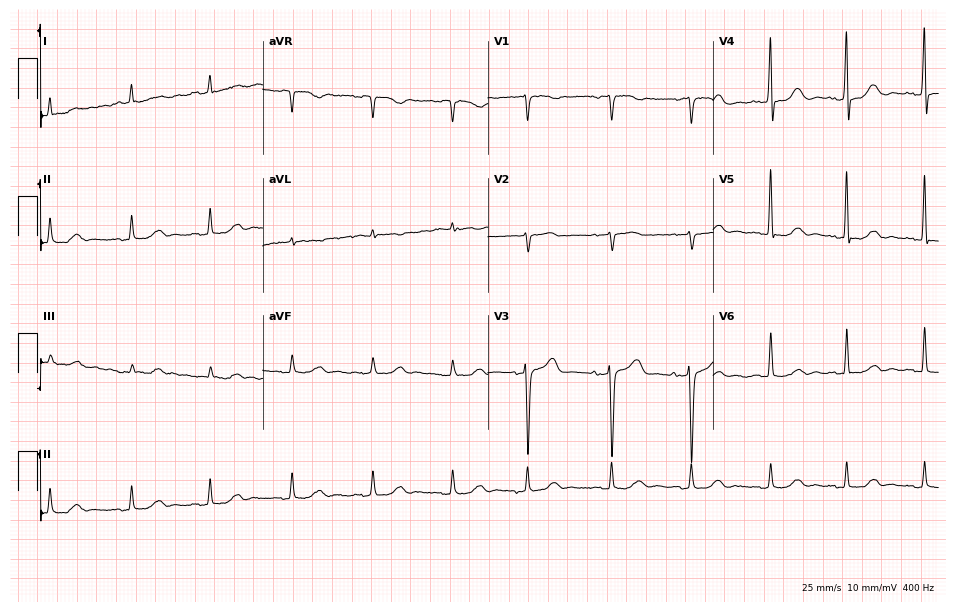
Electrocardiogram, a 76-year-old male patient. Overall reading on record: normal ECG.